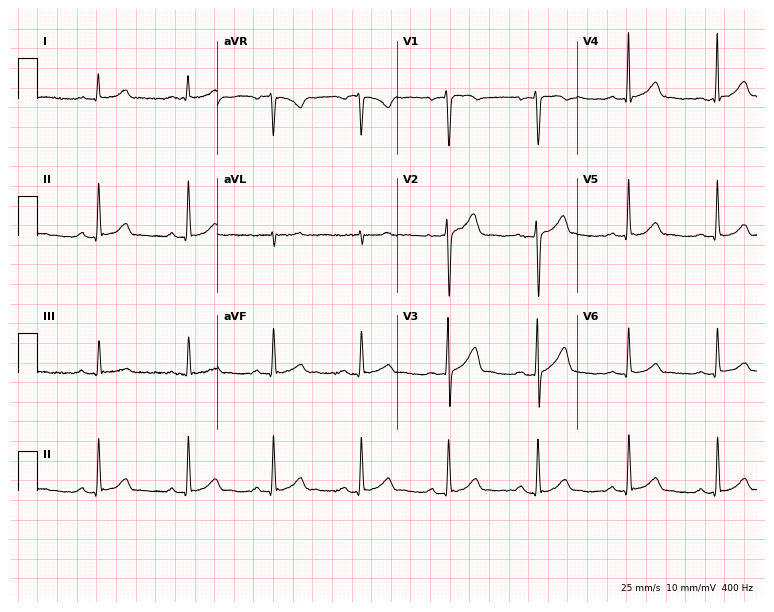
Resting 12-lead electrocardiogram. Patient: a 49-year-old male. Read as a normal ECG.